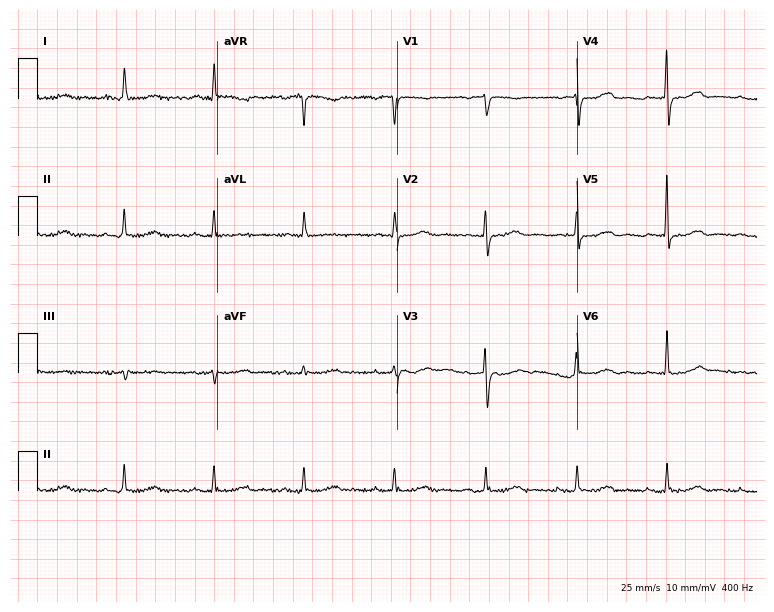
12-lead ECG from a 72-year-old woman. Recorded interpretation: within normal limits.